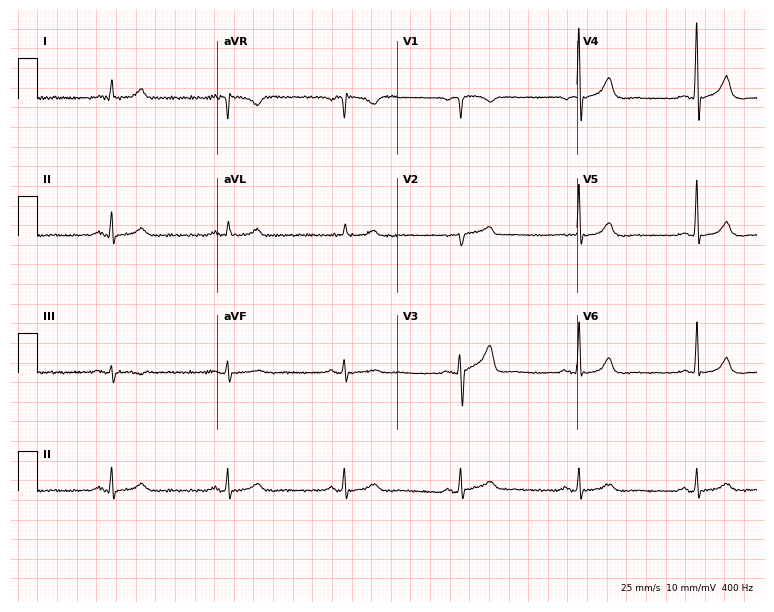
Standard 12-lead ECG recorded from a male patient, 62 years old (7.3-second recording at 400 Hz). None of these six findings is recorded: first-degree AV block, right bundle branch block (RBBB), left bundle branch block (LBBB), sinus bradycardia, atrial fibrillation (AF), sinus tachycardia. Other findings, if any, are not listed.